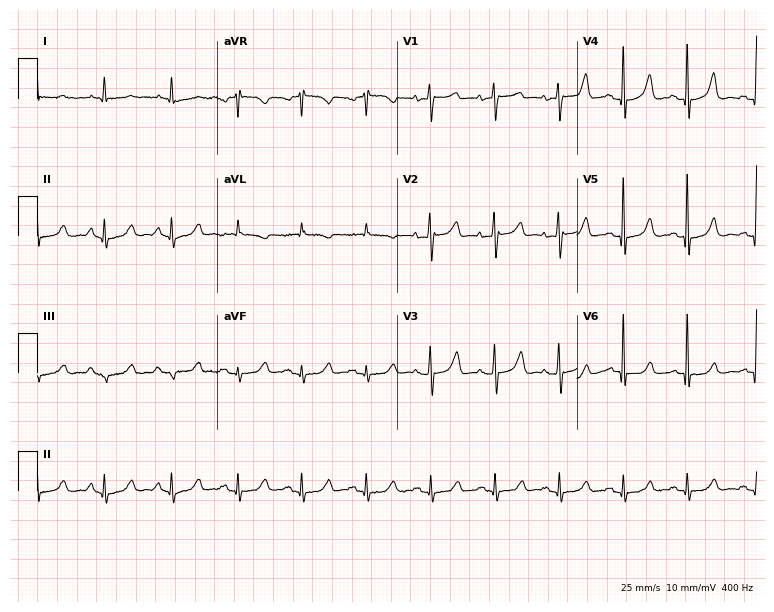
12-lead ECG from an 85-year-old female patient. Recorded interpretation: within normal limits.